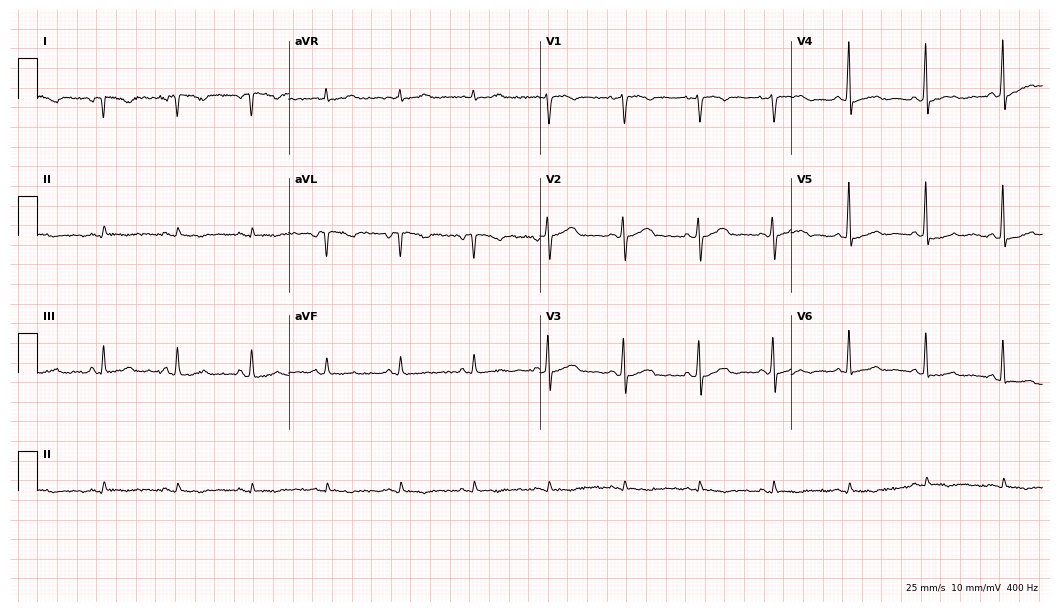
Resting 12-lead electrocardiogram (10.2-second recording at 400 Hz). Patient: a woman, 43 years old. None of these six findings is recorded: first-degree AV block, right bundle branch block (RBBB), left bundle branch block (LBBB), sinus bradycardia, atrial fibrillation (AF), sinus tachycardia.